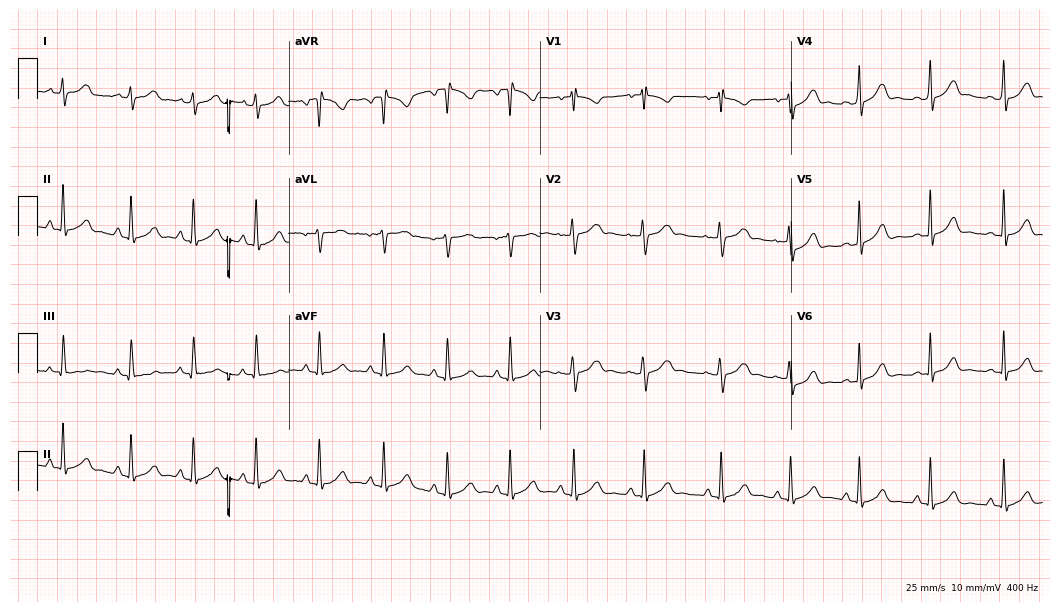
12-lead ECG from a woman, 26 years old. No first-degree AV block, right bundle branch block (RBBB), left bundle branch block (LBBB), sinus bradycardia, atrial fibrillation (AF) or sinus tachycardia recorded for this tracing.